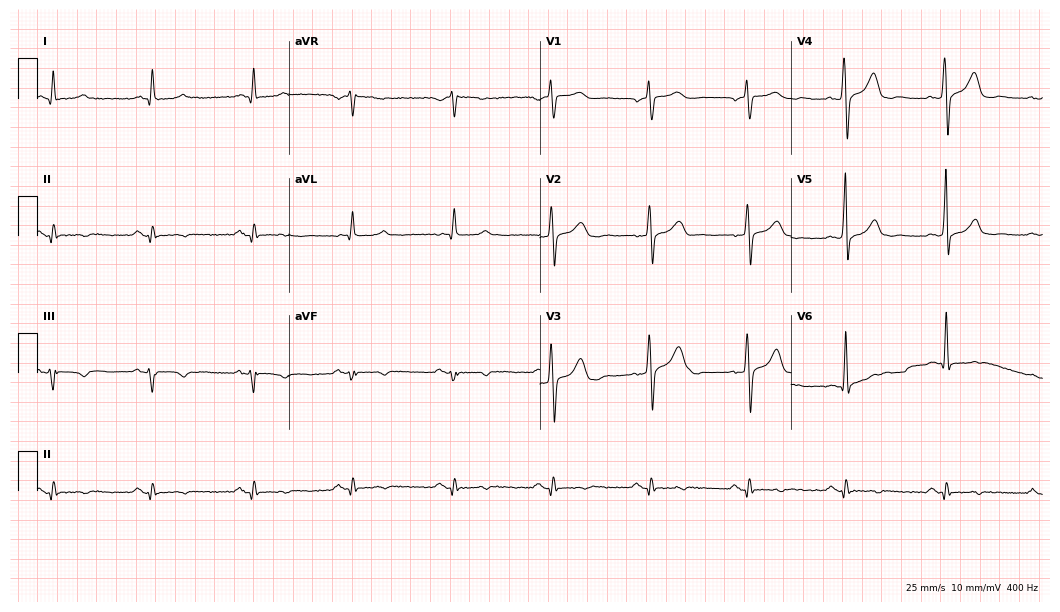
Standard 12-lead ECG recorded from a male, 55 years old (10.2-second recording at 400 Hz). None of these six findings is recorded: first-degree AV block, right bundle branch block, left bundle branch block, sinus bradycardia, atrial fibrillation, sinus tachycardia. Only these six findings were labelled.